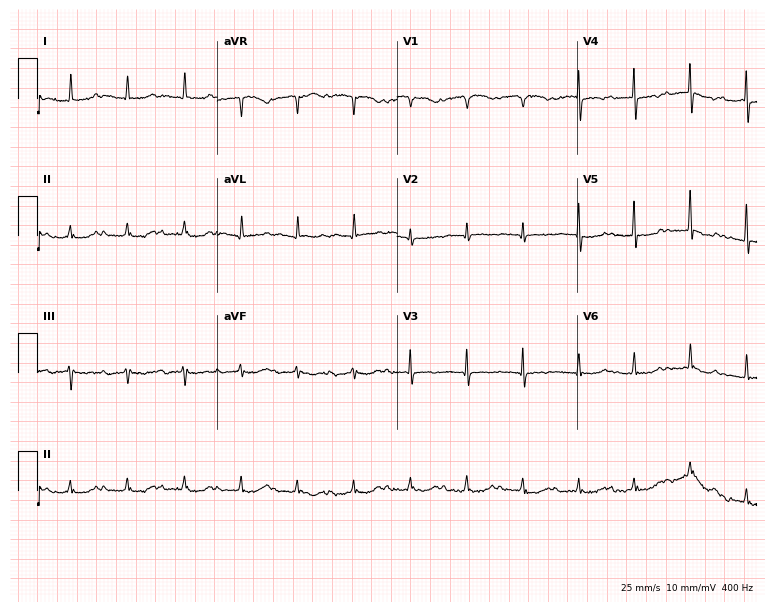
Resting 12-lead electrocardiogram (7.3-second recording at 400 Hz). Patient: a female, 79 years old. None of these six findings is recorded: first-degree AV block, right bundle branch block (RBBB), left bundle branch block (LBBB), sinus bradycardia, atrial fibrillation (AF), sinus tachycardia. Other findings, if any, are not listed.